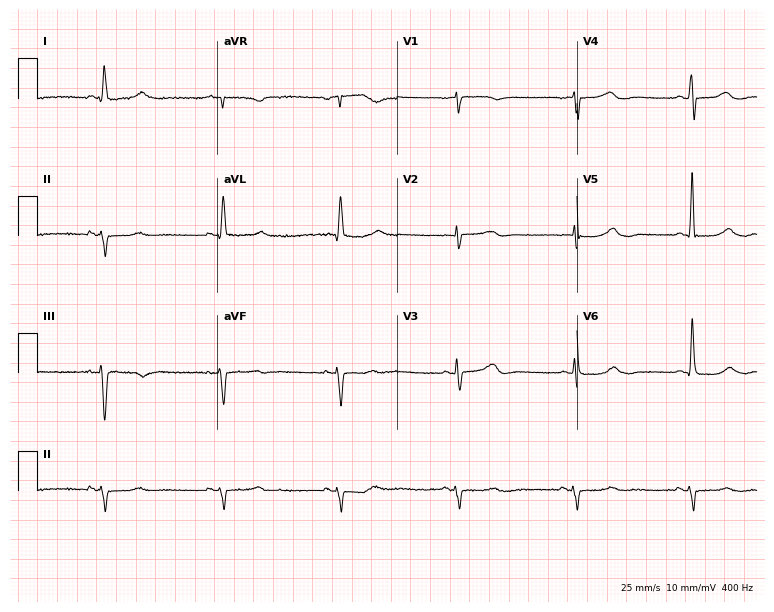
Electrocardiogram (7.3-second recording at 400 Hz), a man, 72 years old. Of the six screened findings (first-degree AV block, right bundle branch block (RBBB), left bundle branch block (LBBB), sinus bradycardia, atrial fibrillation (AF), sinus tachycardia), none is recorded. Findings outside these six are not listed.